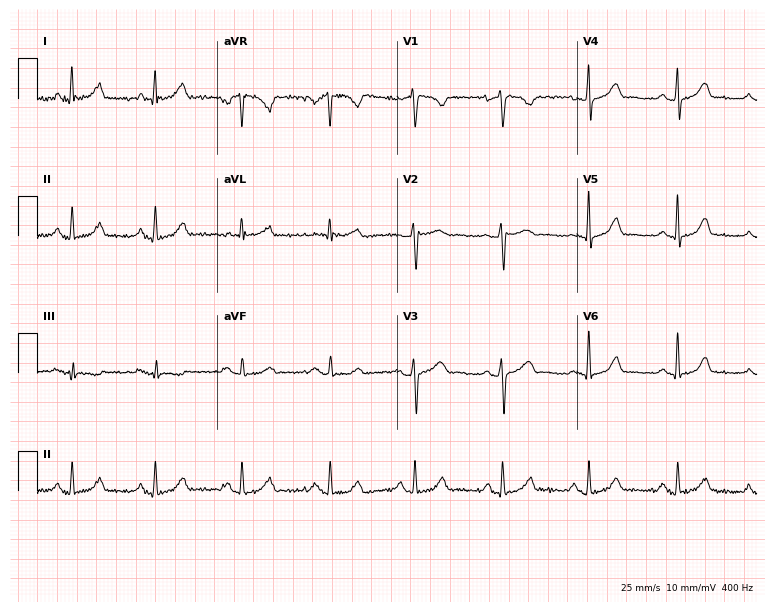
Resting 12-lead electrocardiogram (7.3-second recording at 400 Hz). Patient: a 33-year-old female. None of these six findings is recorded: first-degree AV block, right bundle branch block, left bundle branch block, sinus bradycardia, atrial fibrillation, sinus tachycardia.